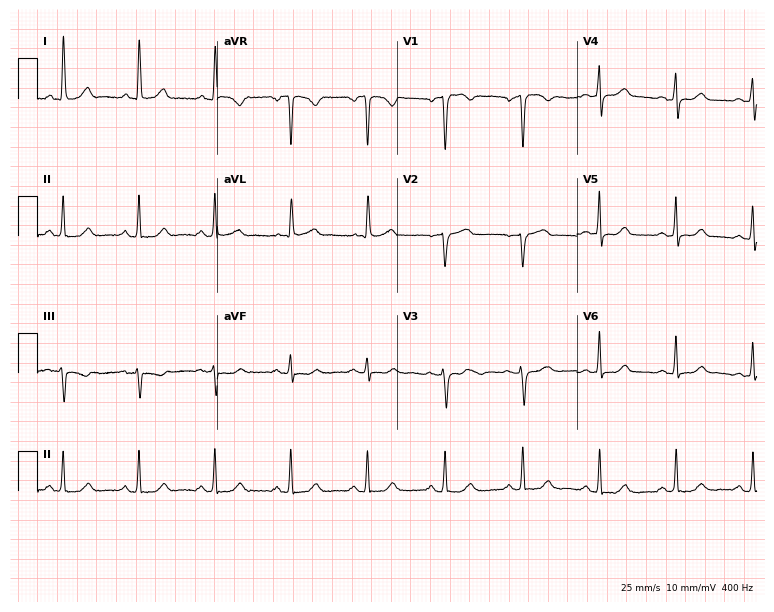
Electrocardiogram, a female, 54 years old. Overall reading on record: normal ECG.